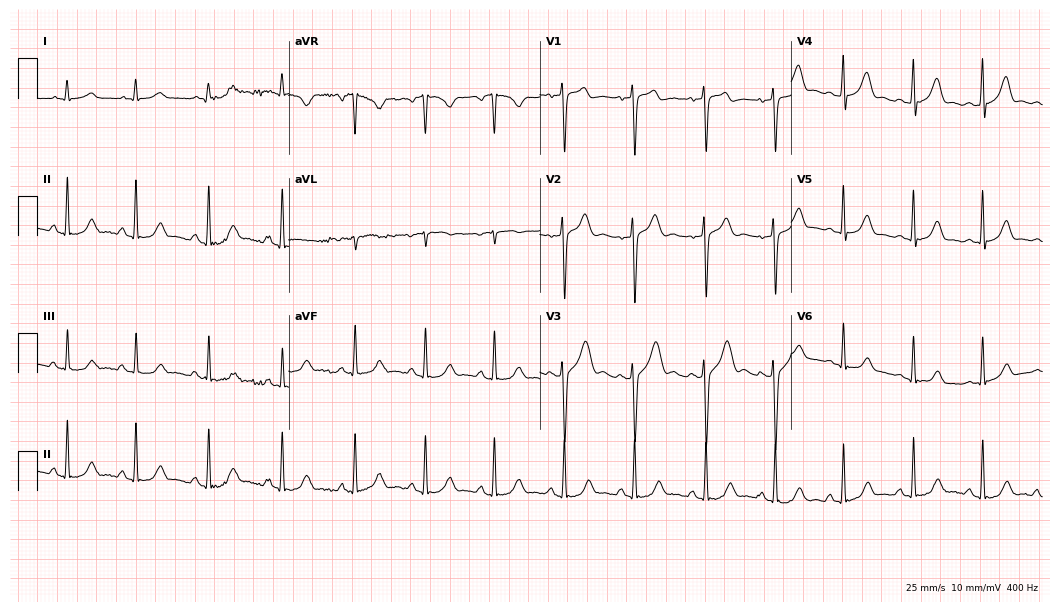
12-lead ECG from a male, 31 years old. Labelled as a normal ECG.